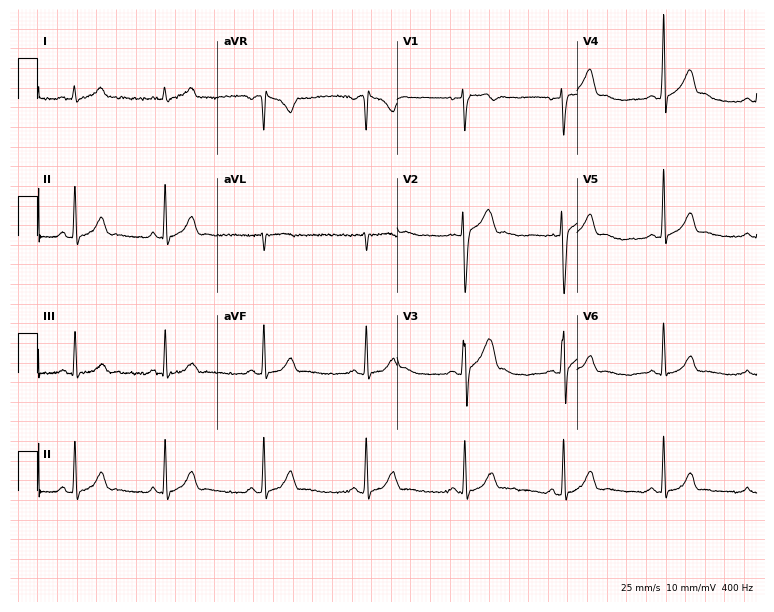
Standard 12-lead ECG recorded from a 30-year-old male (7.3-second recording at 400 Hz). Read as a normal ECG.